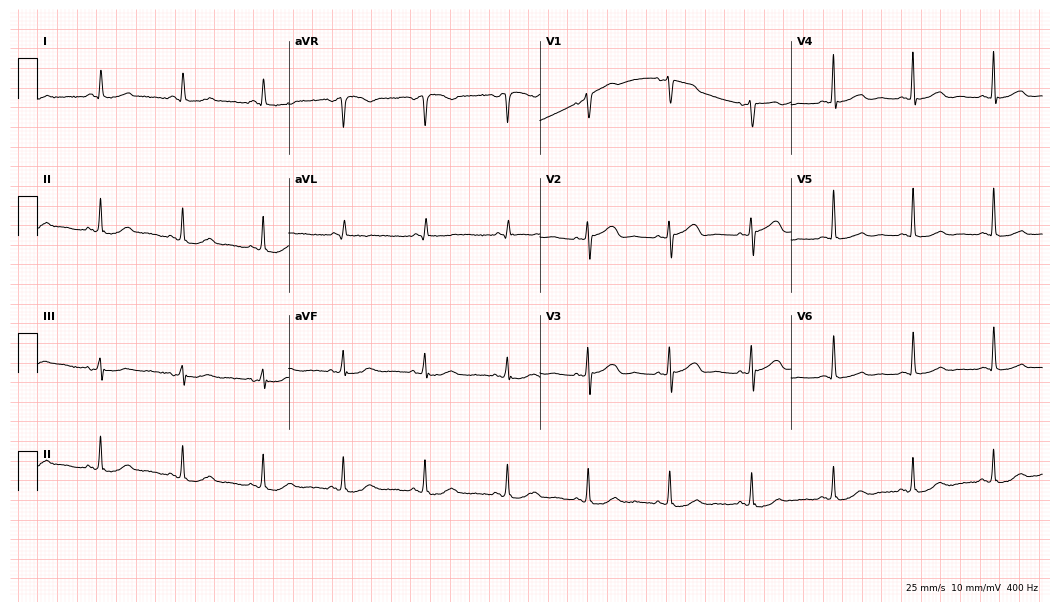
Electrocardiogram, a female patient, 63 years old. Overall reading on record: normal ECG.